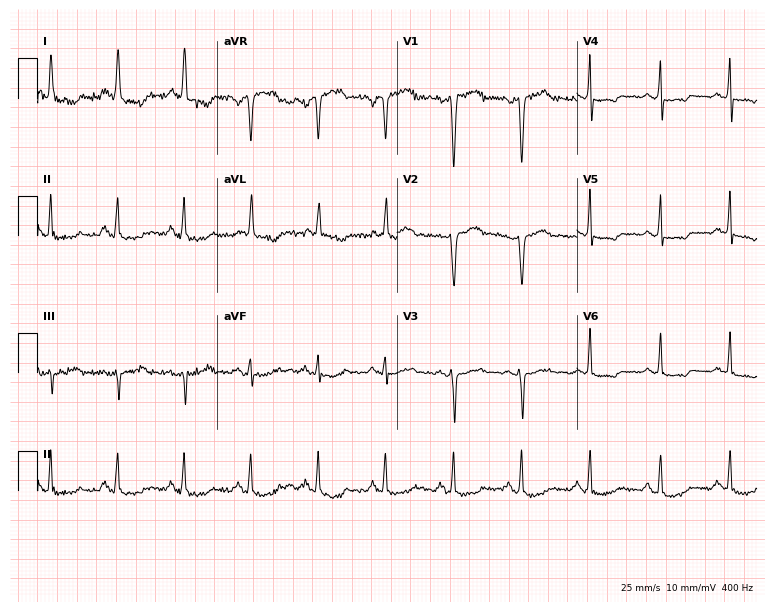
12-lead ECG from a 65-year-old female. Screened for six findings — first-degree AV block, right bundle branch block, left bundle branch block, sinus bradycardia, atrial fibrillation, sinus tachycardia — none is recorded.